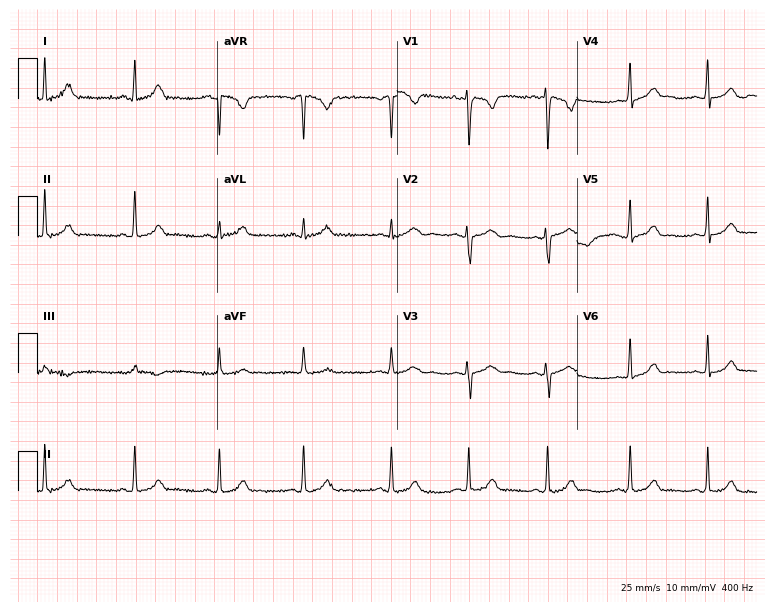
Standard 12-lead ECG recorded from a female patient, 19 years old. Read as a normal ECG.